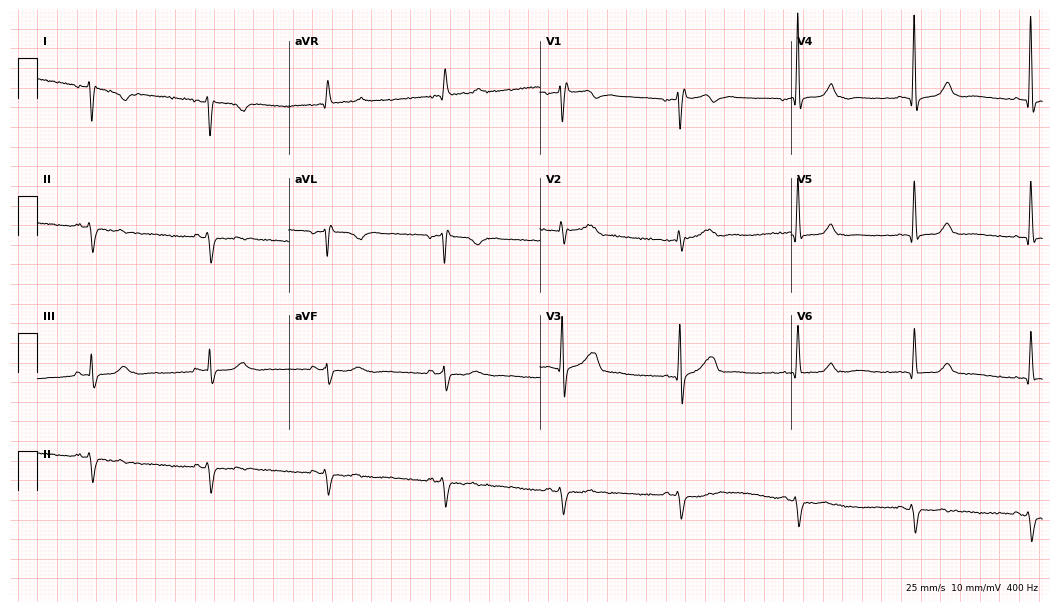
12-lead ECG from a man, 64 years old (10.2-second recording at 400 Hz). No first-degree AV block, right bundle branch block, left bundle branch block, sinus bradycardia, atrial fibrillation or sinus tachycardia recorded for this tracing. Other findings, if any, are not listed.